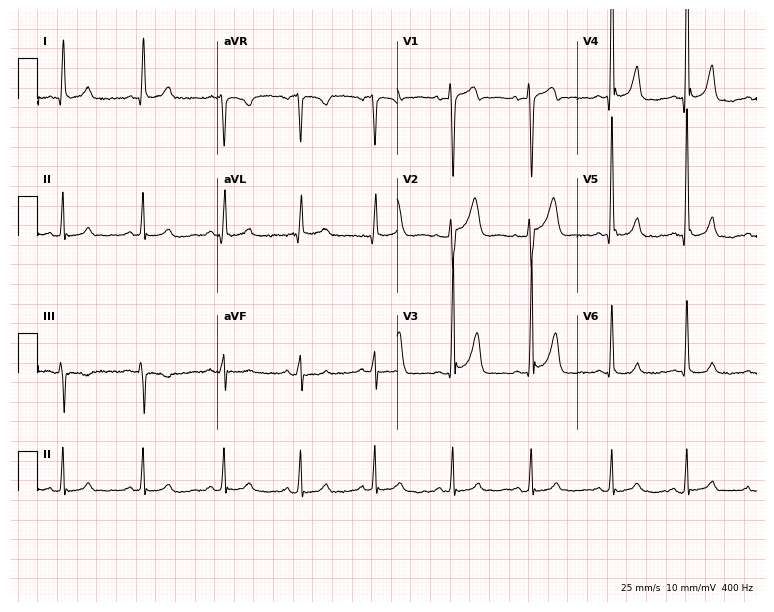
12-lead ECG from a male, 64 years old. No first-degree AV block, right bundle branch block, left bundle branch block, sinus bradycardia, atrial fibrillation or sinus tachycardia recorded for this tracing.